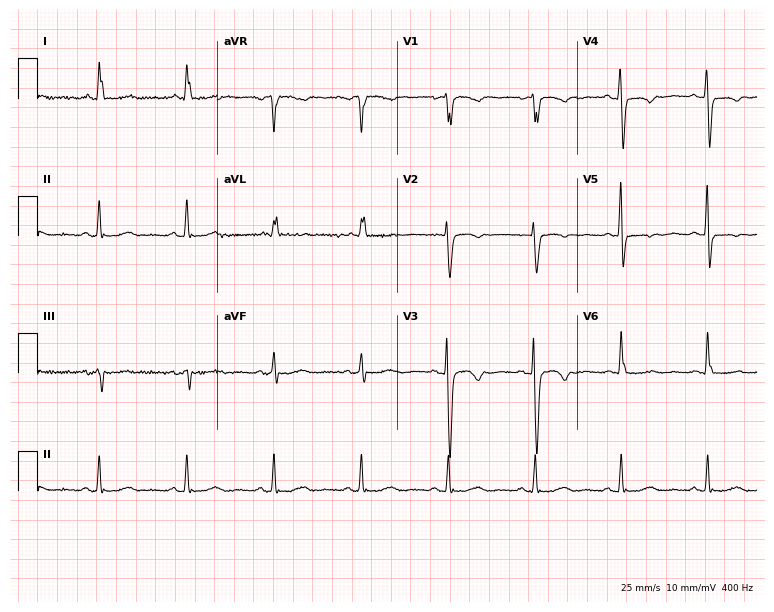
12-lead ECG from a woman, 61 years old. Screened for six findings — first-degree AV block, right bundle branch block, left bundle branch block, sinus bradycardia, atrial fibrillation, sinus tachycardia — none is recorded. Findings outside these six are not listed.